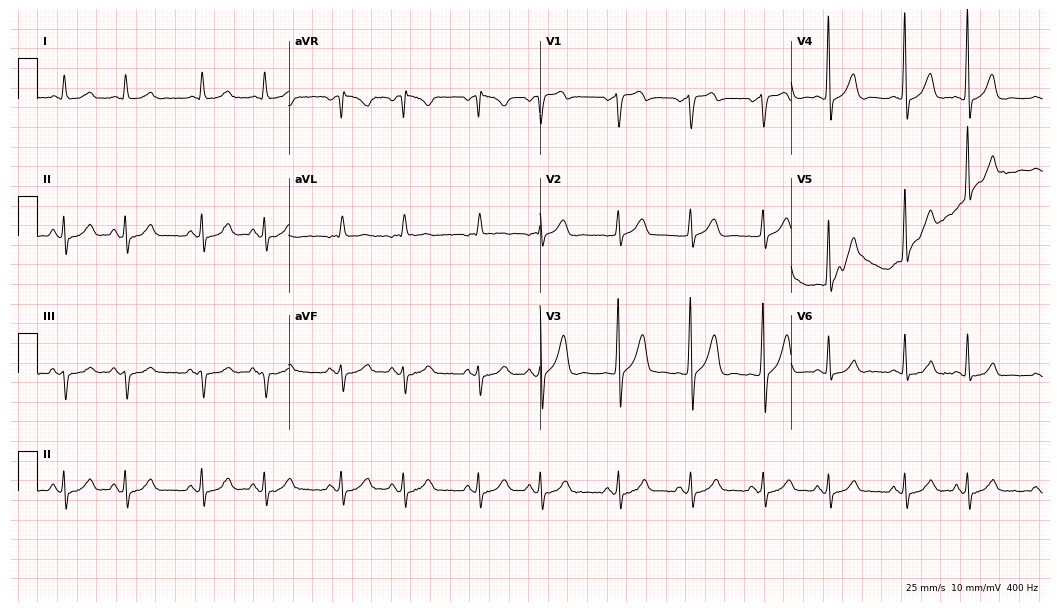
12-lead ECG from a 65-year-old man. Screened for six findings — first-degree AV block, right bundle branch block (RBBB), left bundle branch block (LBBB), sinus bradycardia, atrial fibrillation (AF), sinus tachycardia — none is recorded. Only these six findings were labelled.